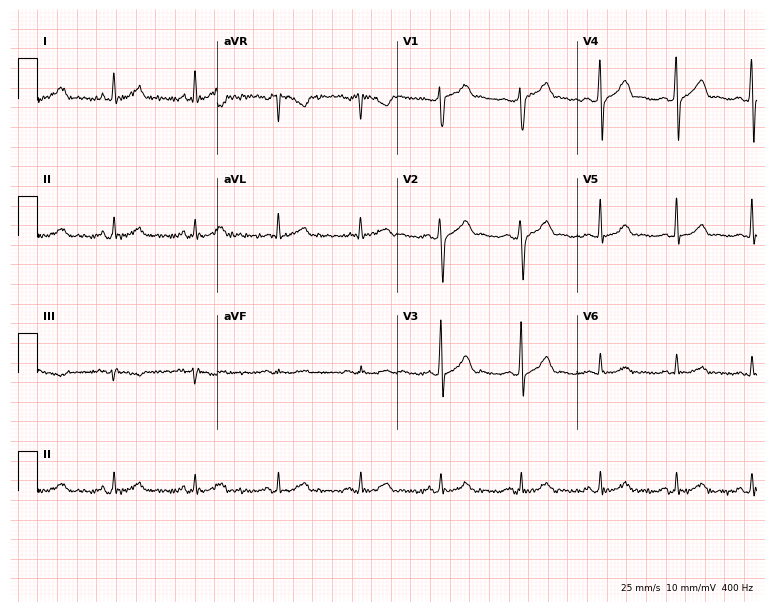
Standard 12-lead ECG recorded from a 48-year-old man (7.3-second recording at 400 Hz). None of these six findings is recorded: first-degree AV block, right bundle branch block, left bundle branch block, sinus bradycardia, atrial fibrillation, sinus tachycardia. Other findings, if any, are not listed.